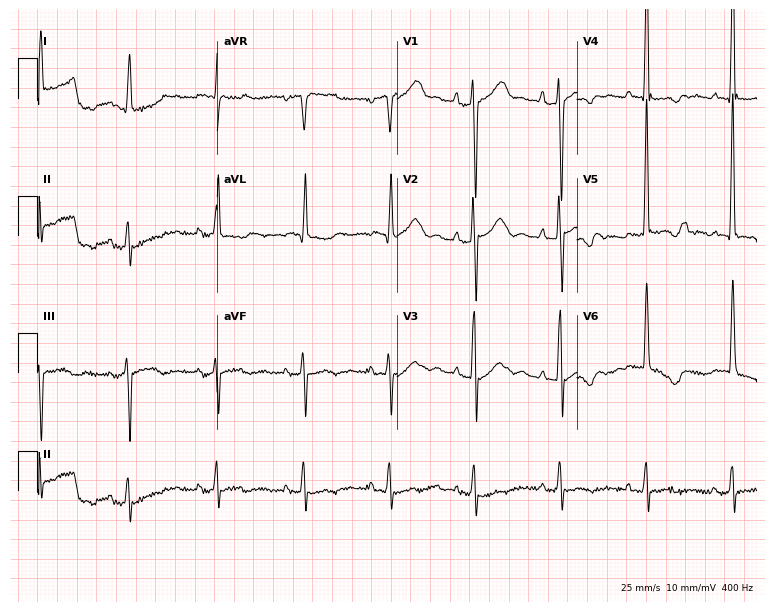
Standard 12-lead ECG recorded from a 78-year-old man. None of these six findings is recorded: first-degree AV block, right bundle branch block, left bundle branch block, sinus bradycardia, atrial fibrillation, sinus tachycardia.